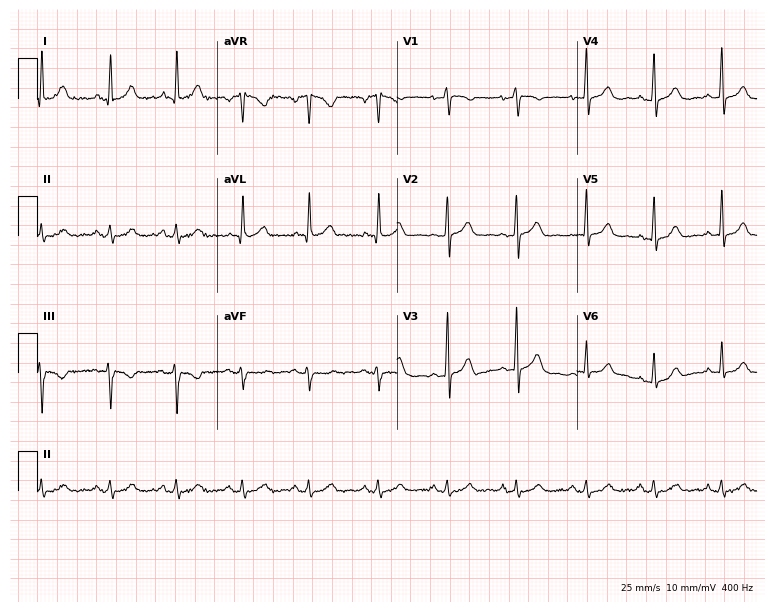
Standard 12-lead ECG recorded from a 58-year-old female patient. None of these six findings is recorded: first-degree AV block, right bundle branch block, left bundle branch block, sinus bradycardia, atrial fibrillation, sinus tachycardia. Other findings, if any, are not listed.